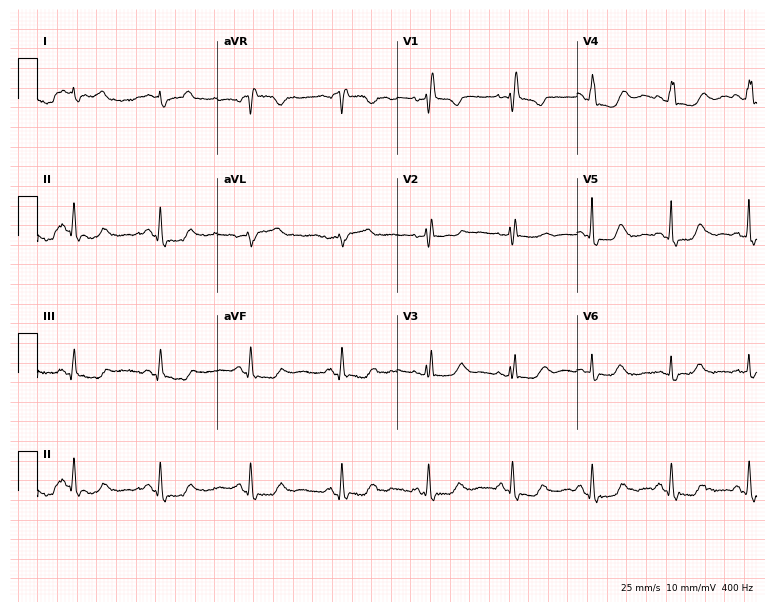
12-lead ECG from a woman, 80 years old. Findings include right bundle branch block.